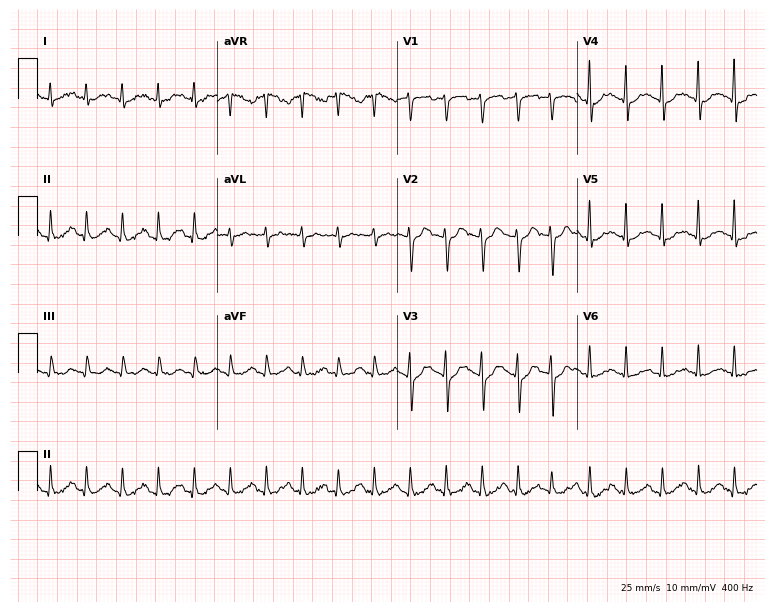
Electrocardiogram, a 61-year-old female patient. Interpretation includes sinus tachycardia (a sinus rate of 100 beats per minute or more).